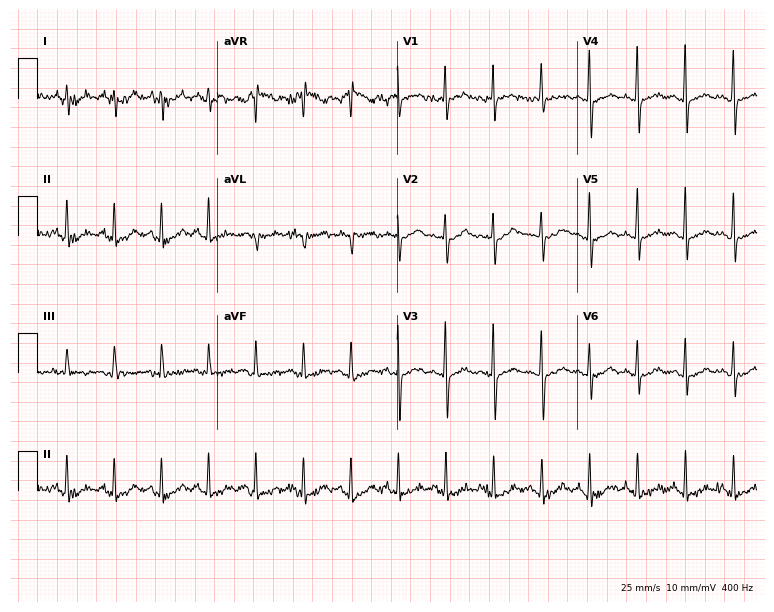
Standard 12-lead ECG recorded from a 57-year-old woman (7.3-second recording at 400 Hz). None of these six findings is recorded: first-degree AV block, right bundle branch block, left bundle branch block, sinus bradycardia, atrial fibrillation, sinus tachycardia.